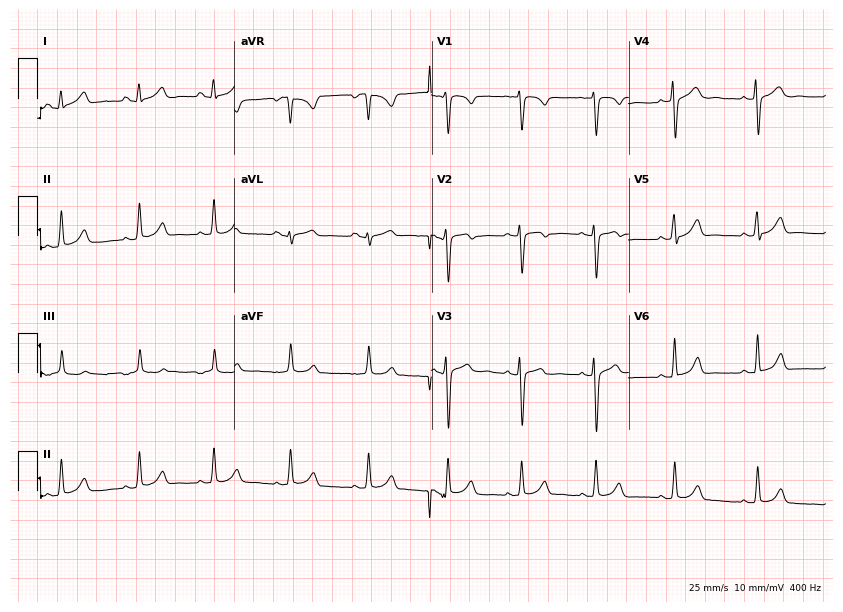
Standard 12-lead ECG recorded from a woman, 24 years old. Read as a normal ECG.